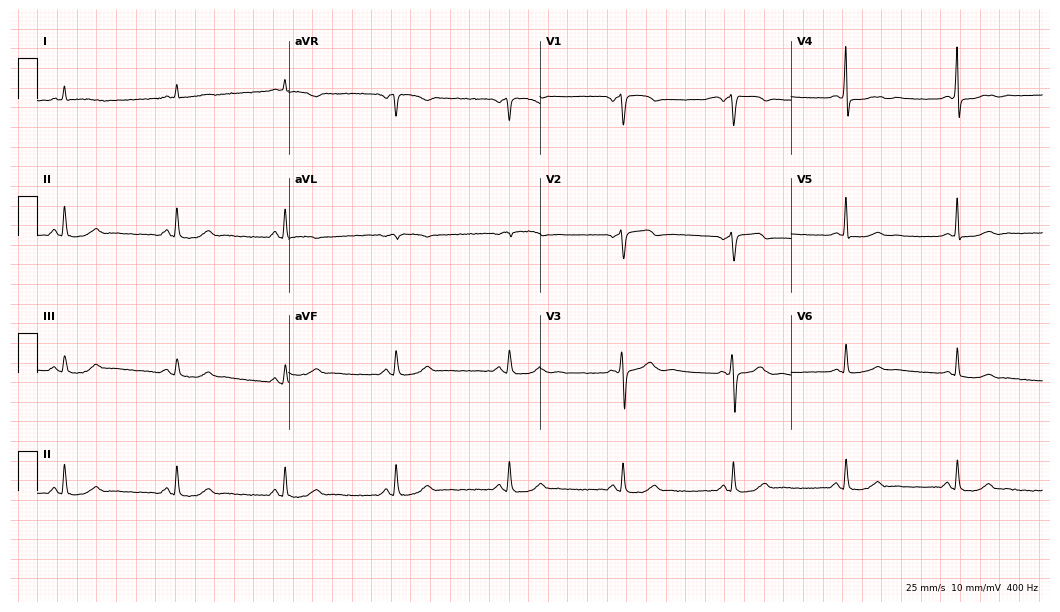
Standard 12-lead ECG recorded from a 61-year-old man (10.2-second recording at 400 Hz). None of these six findings is recorded: first-degree AV block, right bundle branch block (RBBB), left bundle branch block (LBBB), sinus bradycardia, atrial fibrillation (AF), sinus tachycardia.